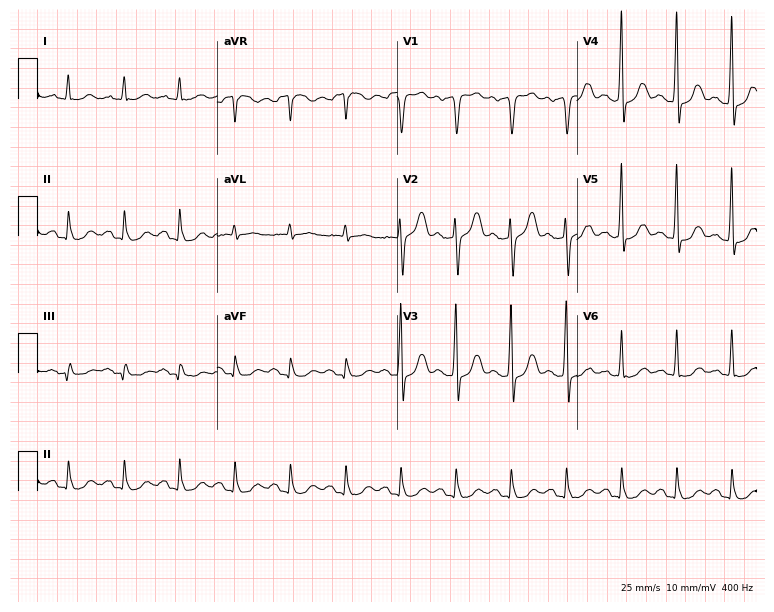
Electrocardiogram (7.3-second recording at 400 Hz), a 63-year-old male patient. Interpretation includes sinus tachycardia (a sinus rate of 100 beats per minute or more).